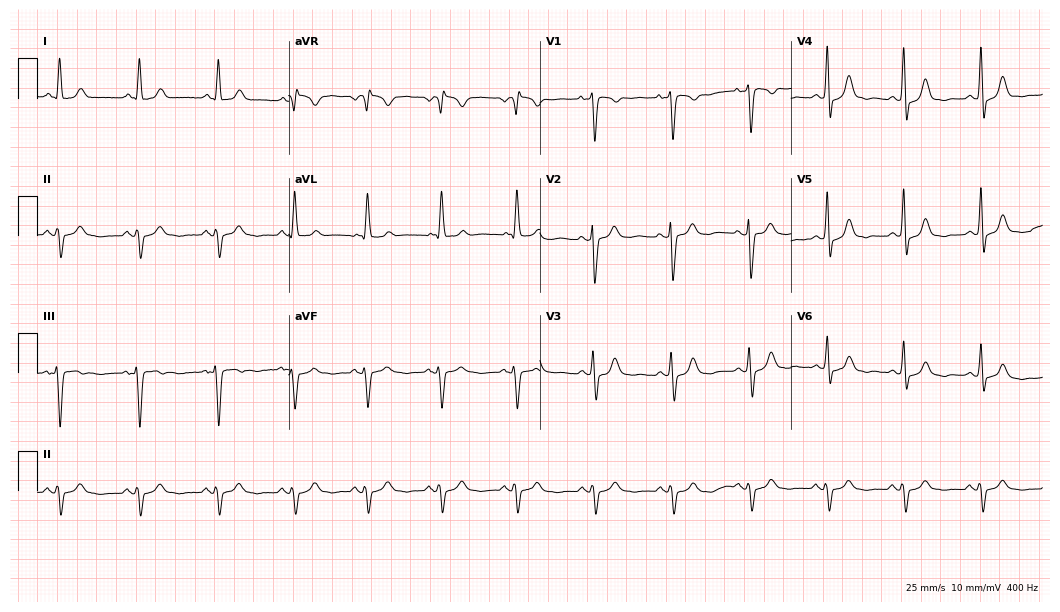
12-lead ECG (10.2-second recording at 400 Hz) from a female, 81 years old. Screened for six findings — first-degree AV block, right bundle branch block (RBBB), left bundle branch block (LBBB), sinus bradycardia, atrial fibrillation (AF), sinus tachycardia — none is recorded. Findings outside these six are not listed.